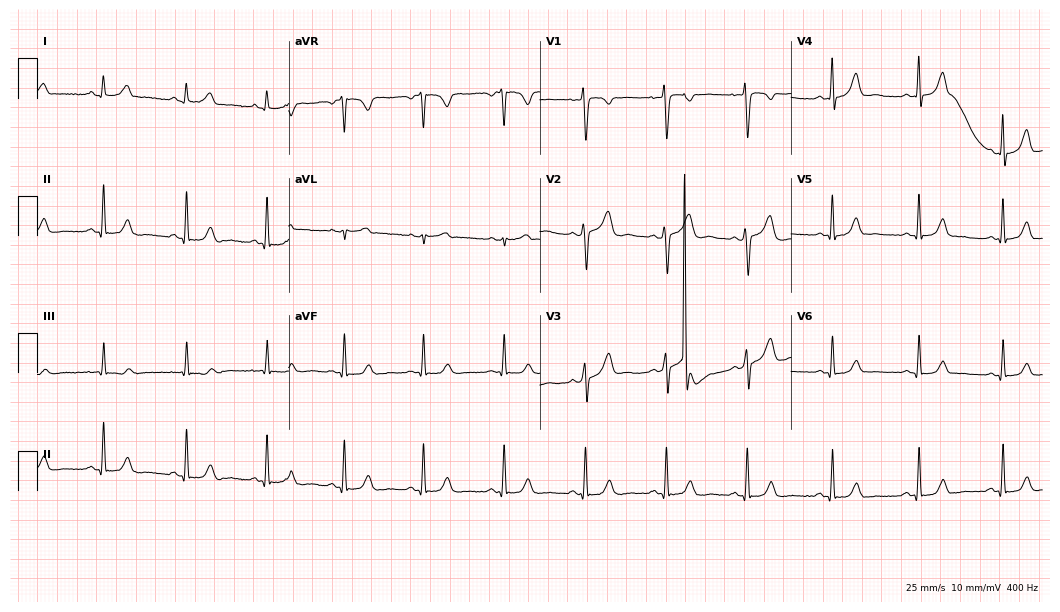
12-lead ECG (10.2-second recording at 400 Hz) from a female, 35 years old. Screened for six findings — first-degree AV block, right bundle branch block, left bundle branch block, sinus bradycardia, atrial fibrillation, sinus tachycardia — none is recorded. Only these six findings were labelled.